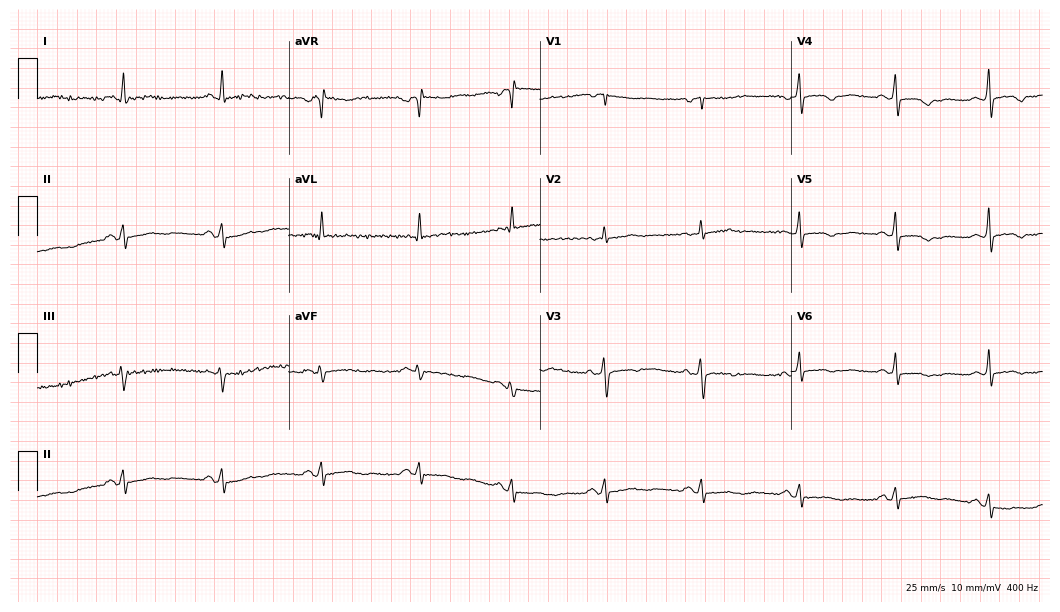
ECG (10.2-second recording at 400 Hz) — a 48-year-old female patient. Screened for six findings — first-degree AV block, right bundle branch block (RBBB), left bundle branch block (LBBB), sinus bradycardia, atrial fibrillation (AF), sinus tachycardia — none is recorded.